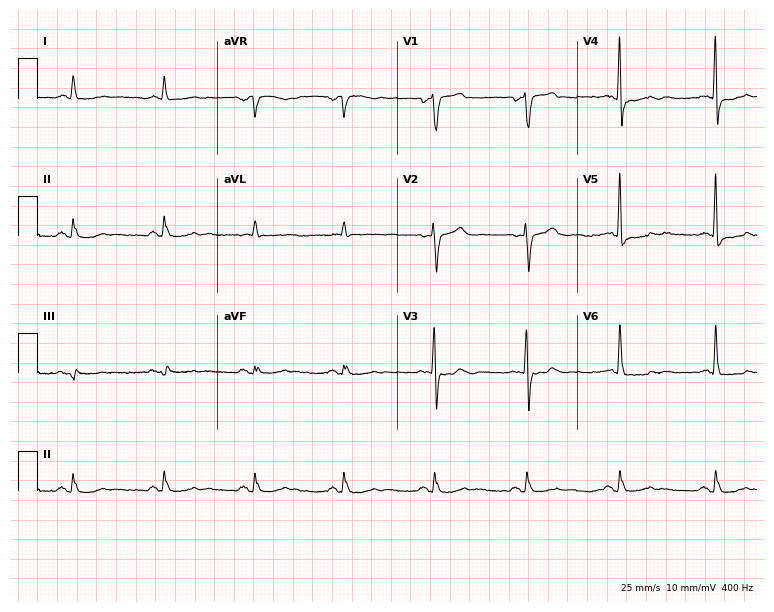
ECG — a man, 74 years old. Screened for six findings — first-degree AV block, right bundle branch block, left bundle branch block, sinus bradycardia, atrial fibrillation, sinus tachycardia — none is recorded. Only these six findings were labelled.